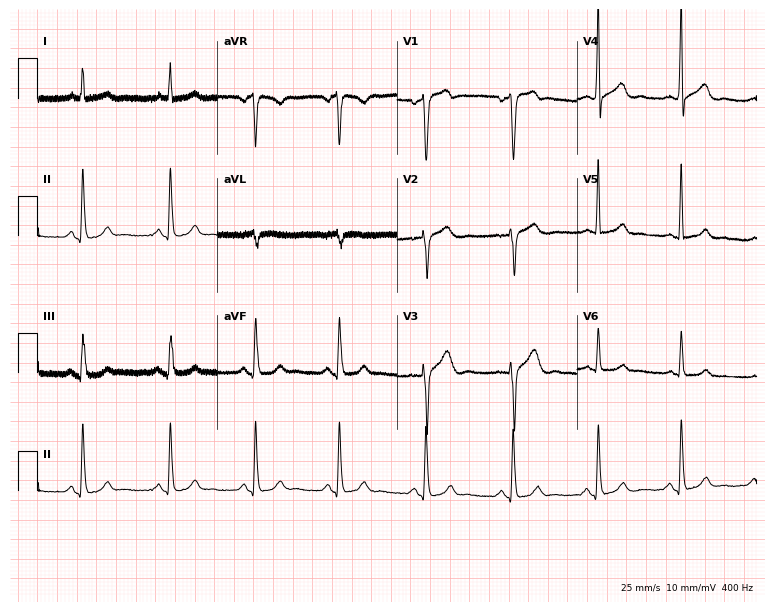
12-lead ECG from a 56-year-old man. Screened for six findings — first-degree AV block, right bundle branch block, left bundle branch block, sinus bradycardia, atrial fibrillation, sinus tachycardia — none is recorded. Other findings, if any, are not listed.